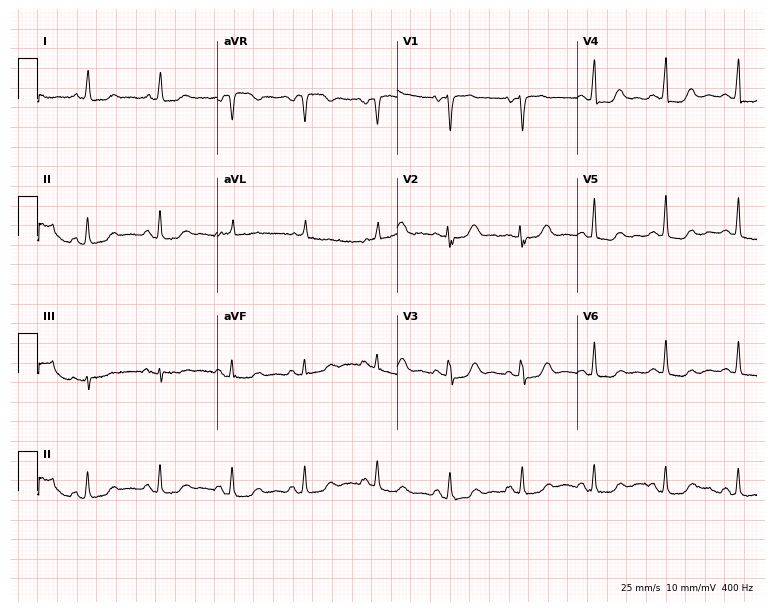
Electrocardiogram, a 73-year-old female patient. Of the six screened findings (first-degree AV block, right bundle branch block (RBBB), left bundle branch block (LBBB), sinus bradycardia, atrial fibrillation (AF), sinus tachycardia), none is recorded.